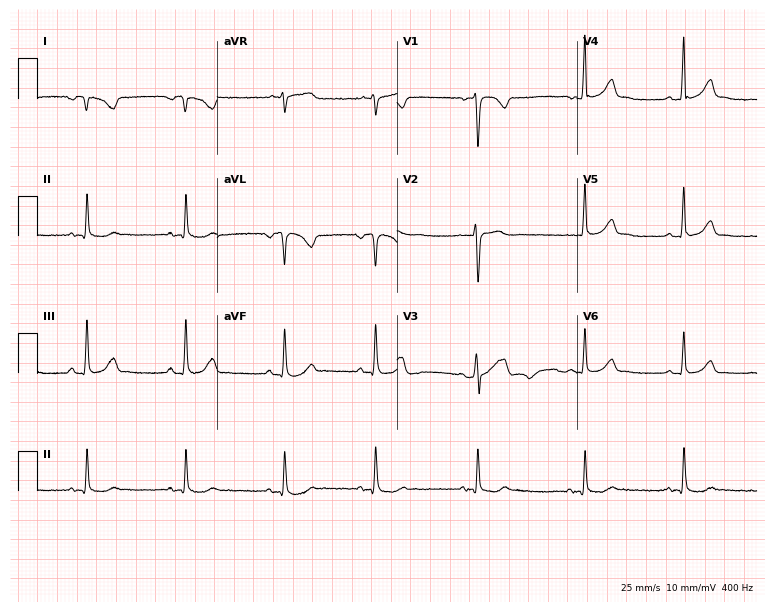
ECG (7.3-second recording at 400 Hz) — a female, 20 years old. Screened for six findings — first-degree AV block, right bundle branch block, left bundle branch block, sinus bradycardia, atrial fibrillation, sinus tachycardia — none is recorded.